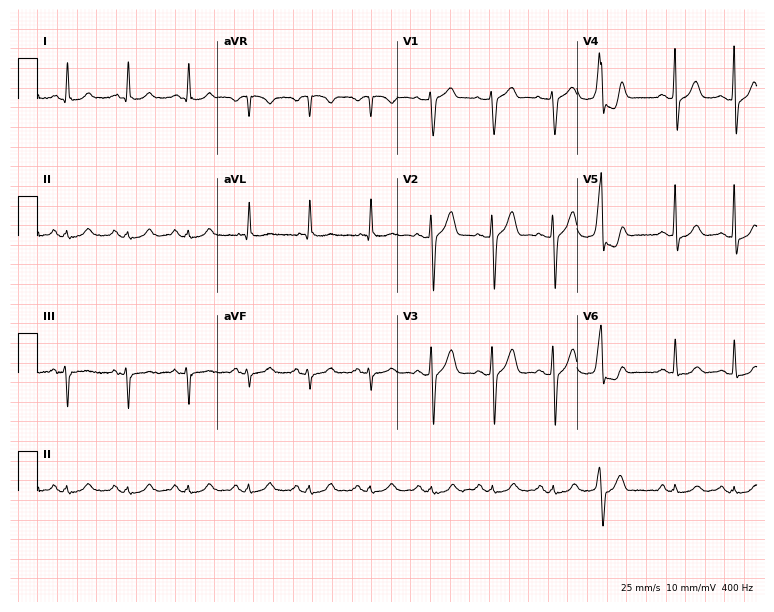
Electrocardiogram (7.3-second recording at 400 Hz), a 60-year-old man. Overall reading on record: normal ECG.